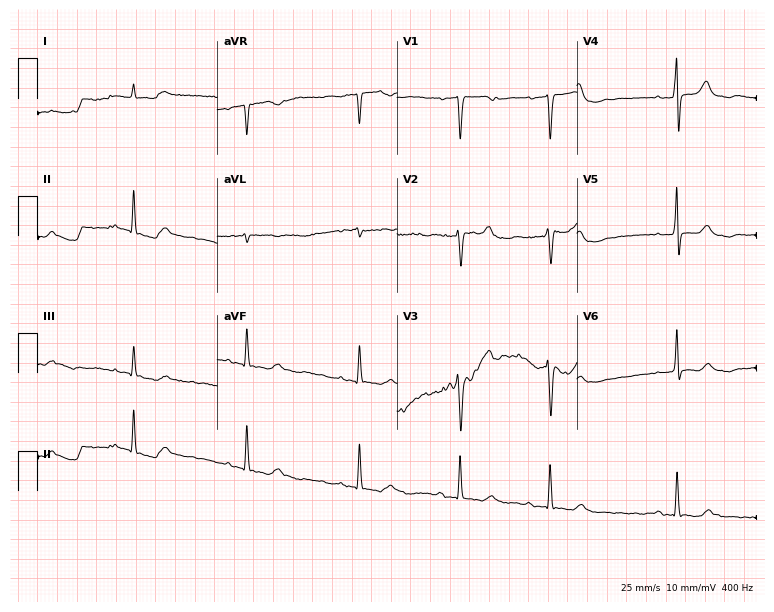
12-lead ECG from an 82-year-old male patient. Screened for six findings — first-degree AV block, right bundle branch block, left bundle branch block, sinus bradycardia, atrial fibrillation, sinus tachycardia — none is recorded. Other findings, if any, are not listed.